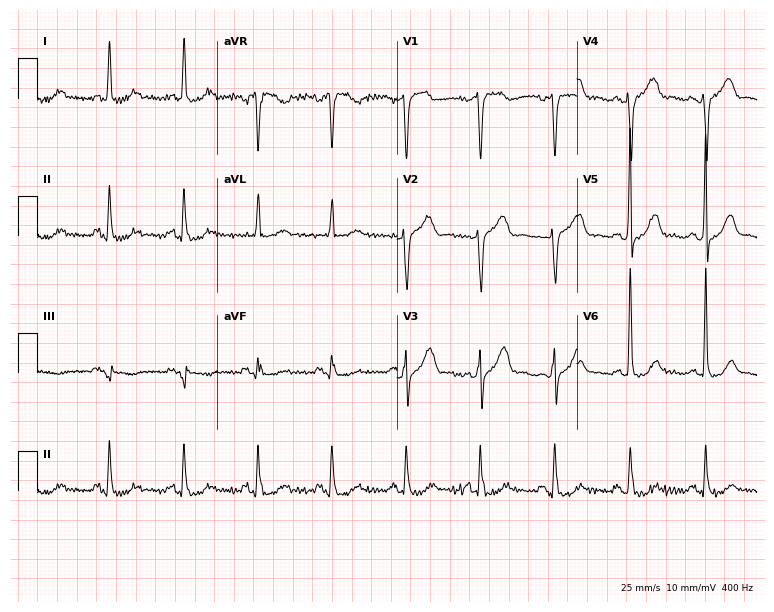
Electrocardiogram, a 68-year-old woman. Overall reading on record: normal ECG.